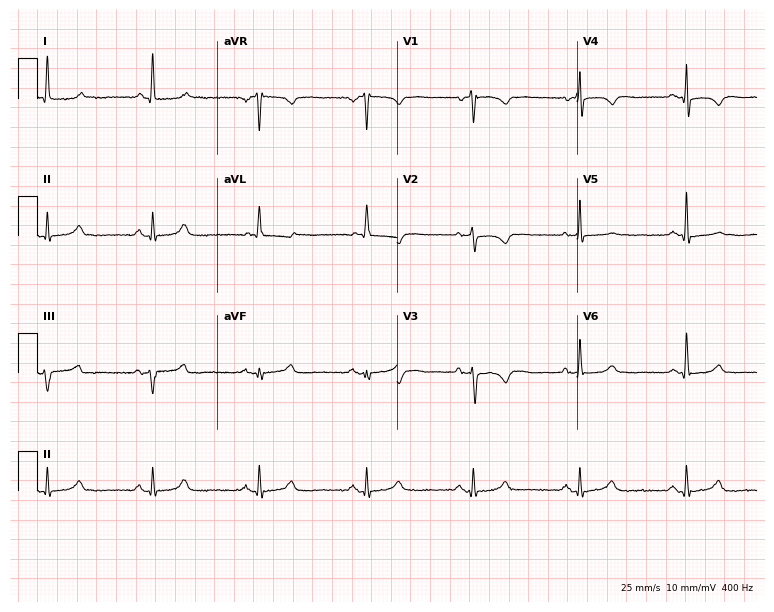
12-lead ECG (7.3-second recording at 400 Hz) from a 72-year-old female patient. Screened for six findings — first-degree AV block, right bundle branch block (RBBB), left bundle branch block (LBBB), sinus bradycardia, atrial fibrillation (AF), sinus tachycardia — none is recorded. Only these six findings were labelled.